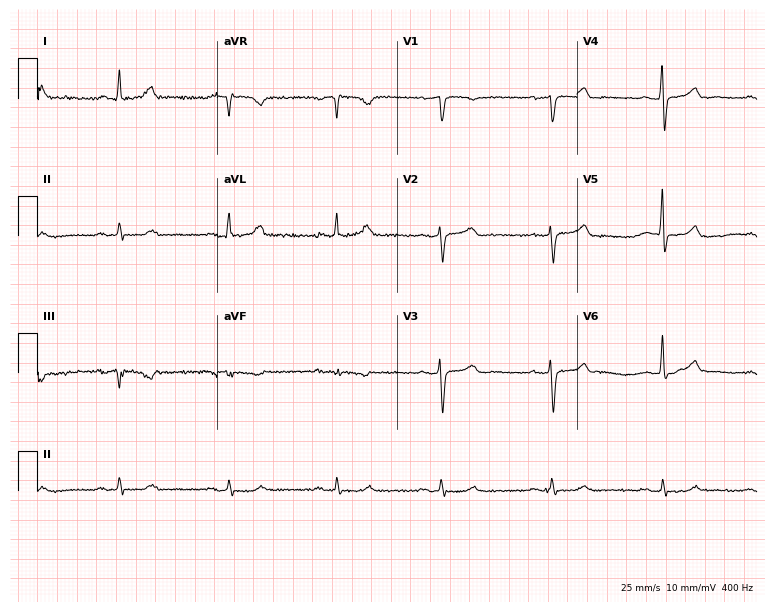
Resting 12-lead electrocardiogram. Patient: a female, 56 years old. Read as a normal ECG.